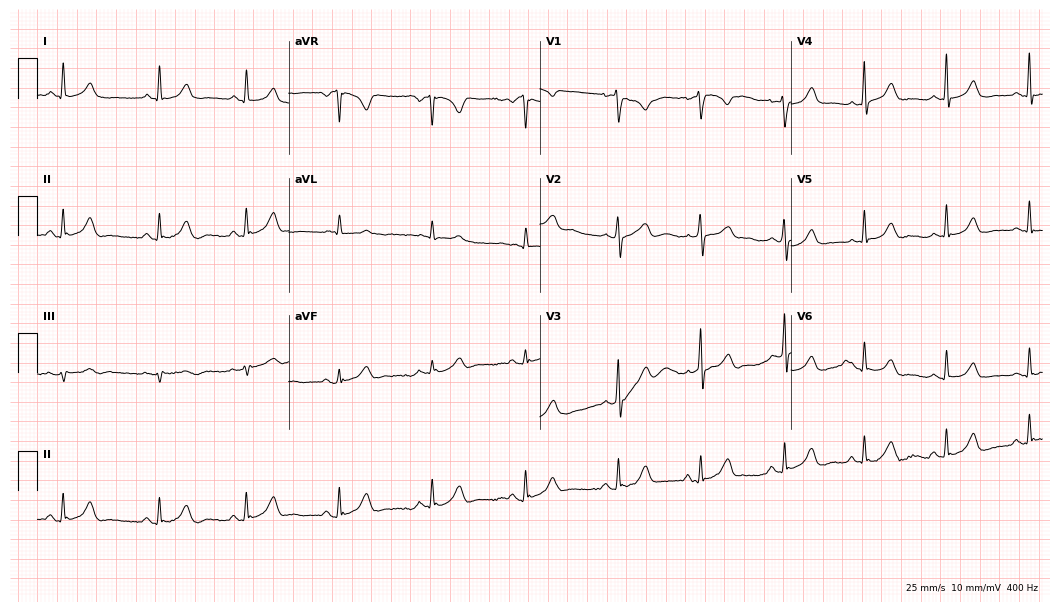
Electrocardiogram (10.2-second recording at 400 Hz), a woman, 21 years old. Of the six screened findings (first-degree AV block, right bundle branch block, left bundle branch block, sinus bradycardia, atrial fibrillation, sinus tachycardia), none is recorded. Findings outside these six are not listed.